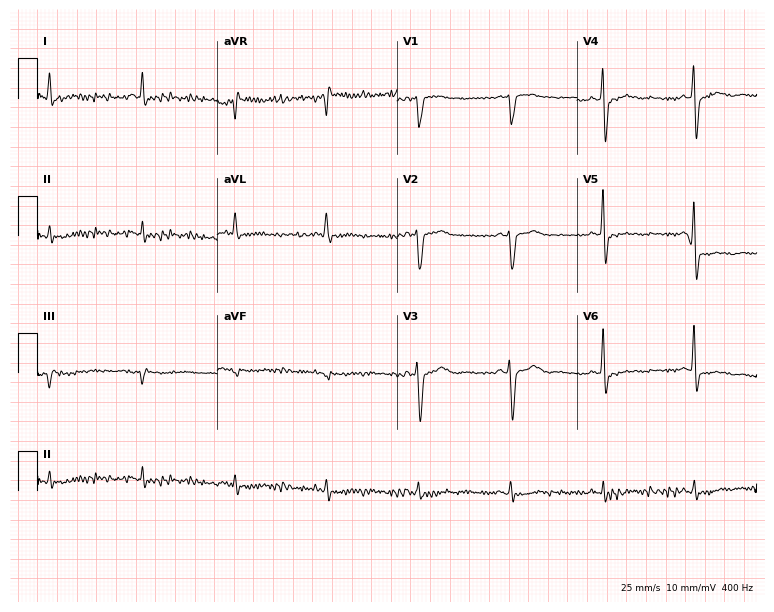
ECG — a male patient, 75 years old. Screened for six findings — first-degree AV block, right bundle branch block, left bundle branch block, sinus bradycardia, atrial fibrillation, sinus tachycardia — none is recorded. Findings outside these six are not listed.